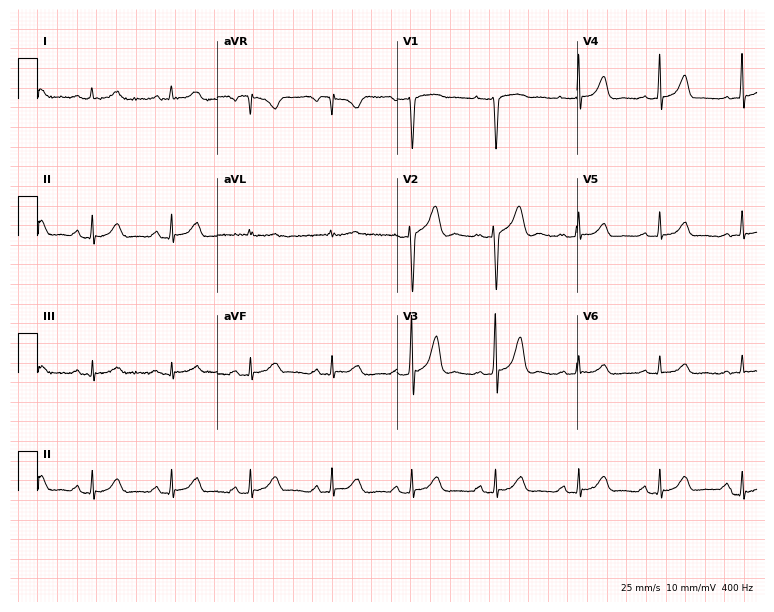
ECG — a female patient, 44 years old. Labelled as a normal ECG.